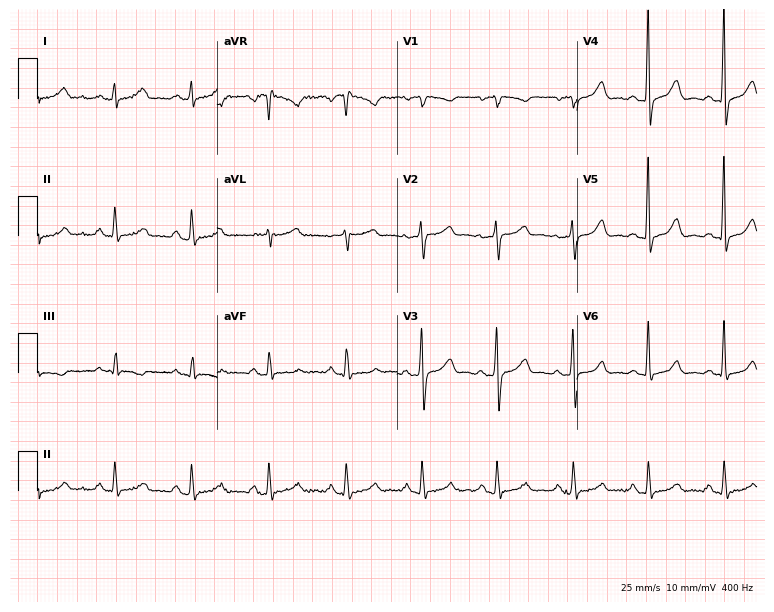
Standard 12-lead ECG recorded from a woman, 48 years old (7.3-second recording at 400 Hz). Read as a normal ECG.